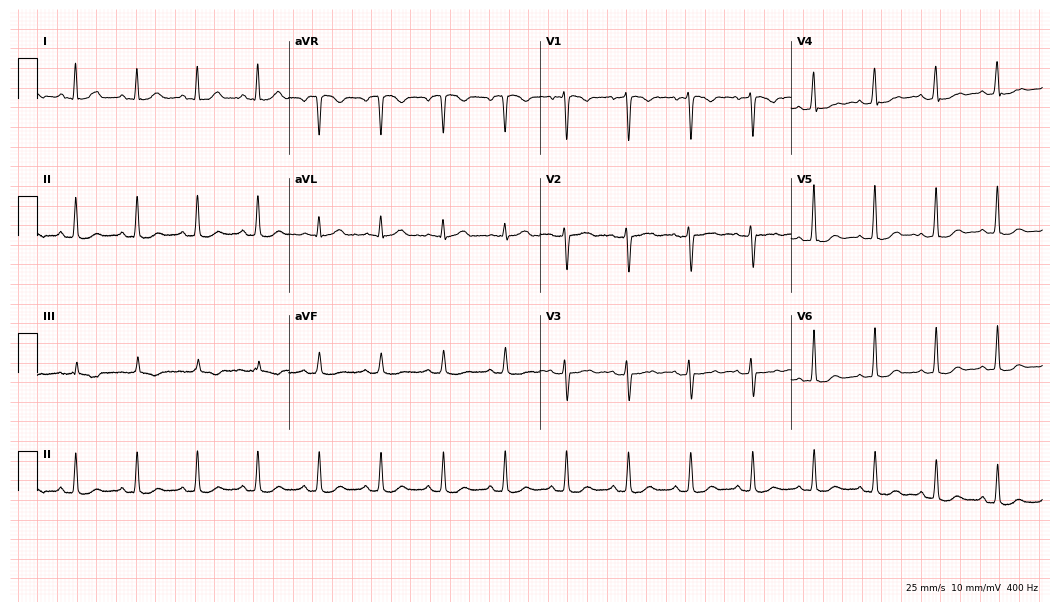
12-lead ECG from a 43-year-old woman (10.2-second recording at 400 Hz). No first-degree AV block, right bundle branch block, left bundle branch block, sinus bradycardia, atrial fibrillation or sinus tachycardia recorded for this tracing. Findings outside these six are not listed.